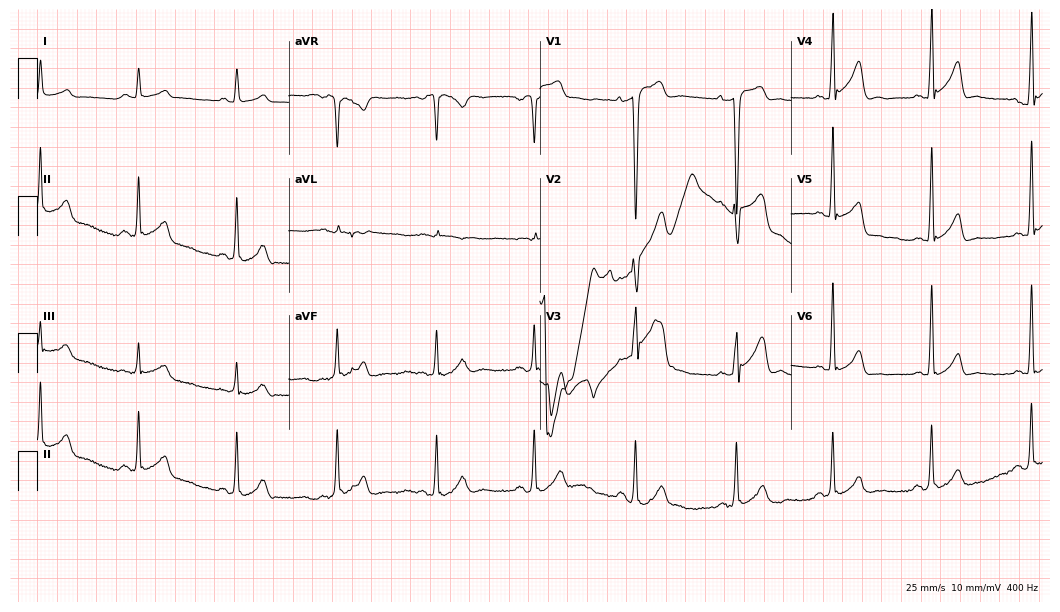
Resting 12-lead electrocardiogram (10.2-second recording at 400 Hz). Patient: a woman, 42 years old. Read as a normal ECG.